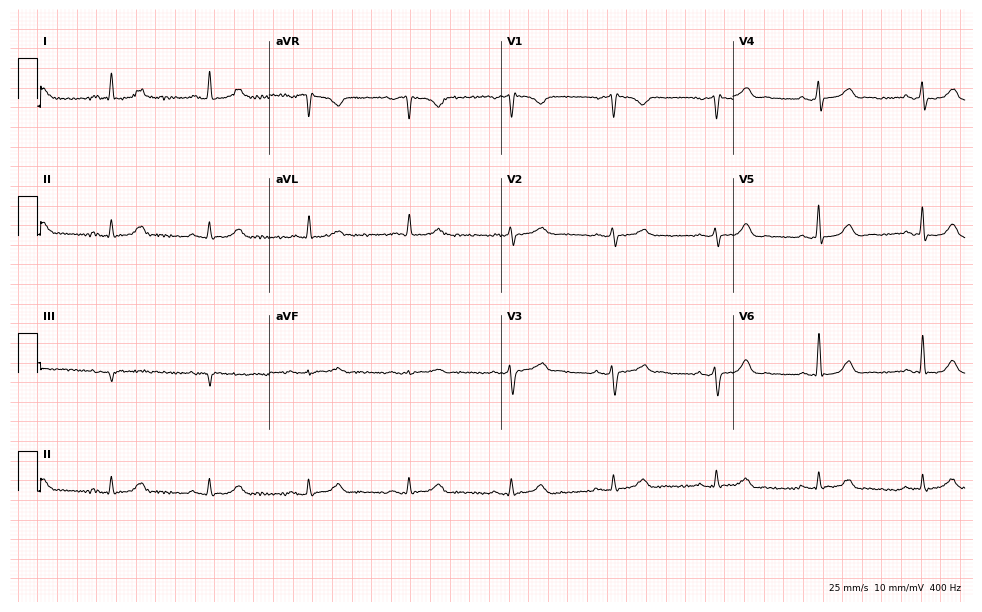
12-lead ECG from a 71-year-old male patient. Recorded interpretation: within normal limits.